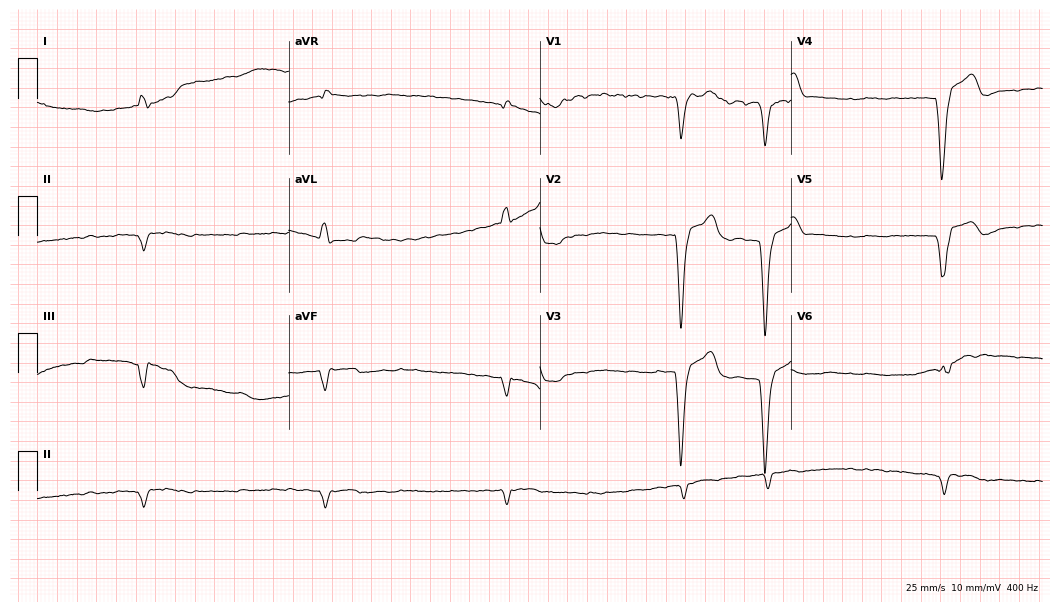
Standard 12-lead ECG recorded from a female, 60 years old. None of these six findings is recorded: first-degree AV block, right bundle branch block, left bundle branch block, sinus bradycardia, atrial fibrillation, sinus tachycardia. Findings outside these six are not listed.